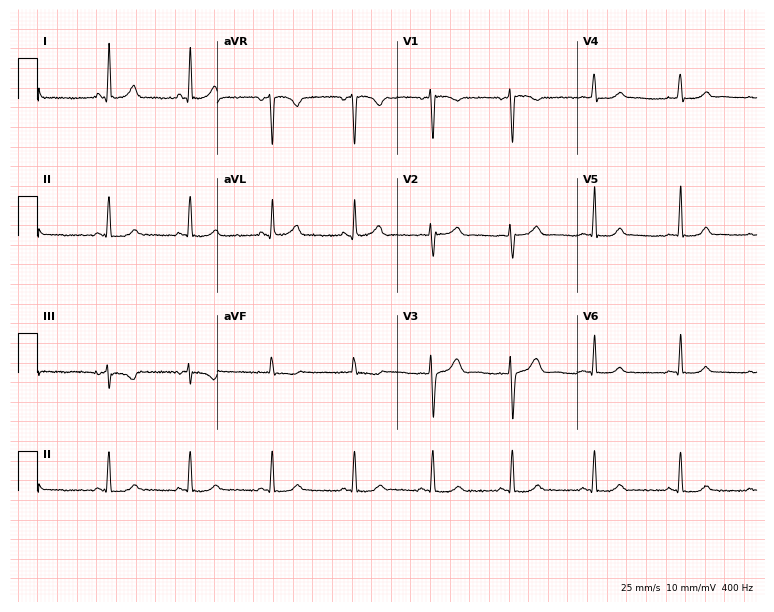
Resting 12-lead electrocardiogram (7.3-second recording at 400 Hz). Patient: a female, 34 years old. None of these six findings is recorded: first-degree AV block, right bundle branch block, left bundle branch block, sinus bradycardia, atrial fibrillation, sinus tachycardia.